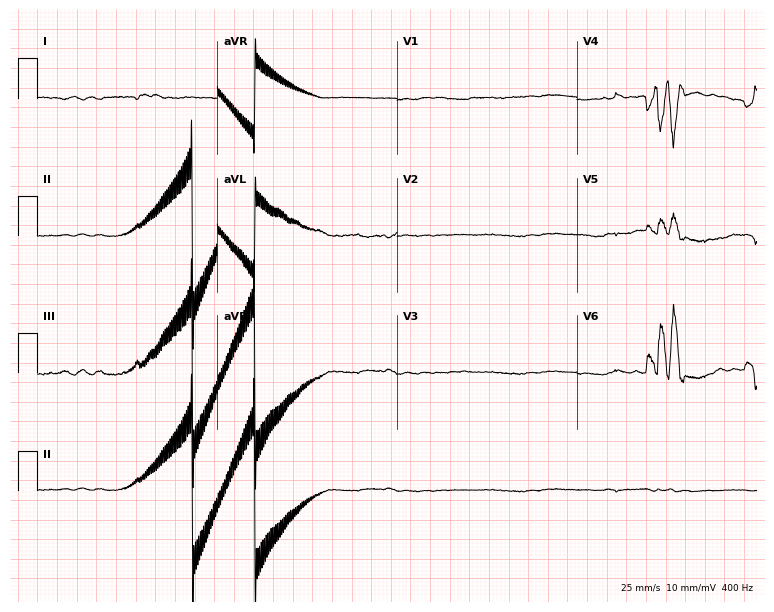
12-lead ECG from a 37-year-old female patient. Screened for six findings — first-degree AV block, right bundle branch block, left bundle branch block, sinus bradycardia, atrial fibrillation, sinus tachycardia — none is recorded. Other findings, if any, are not listed.